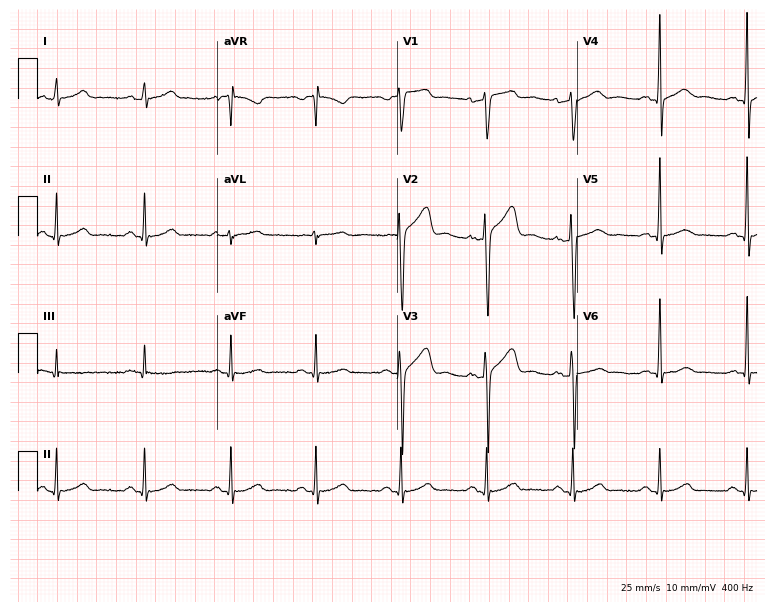
Standard 12-lead ECG recorded from a 48-year-old male. None of these six findings is recorded: first-degree AV block, right bundle branch block, left bundle branch block, sinus bradycardia, atrial fibrillation, sinus tachycardia.